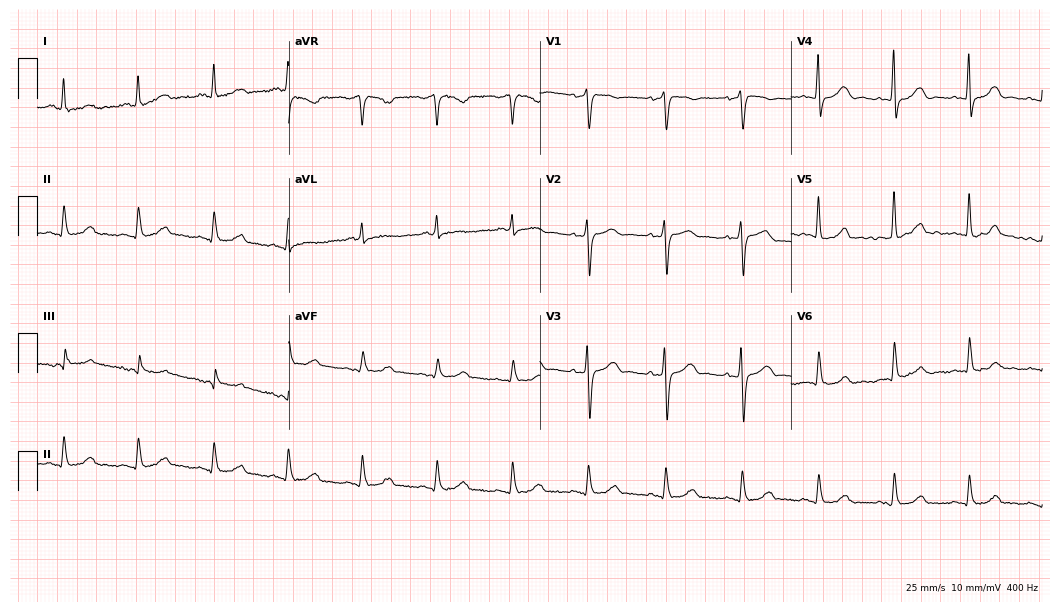
ECG (10.2-second recording at 400 Hz) — a female patient, 59 years old. Labelled as a normal ECG.